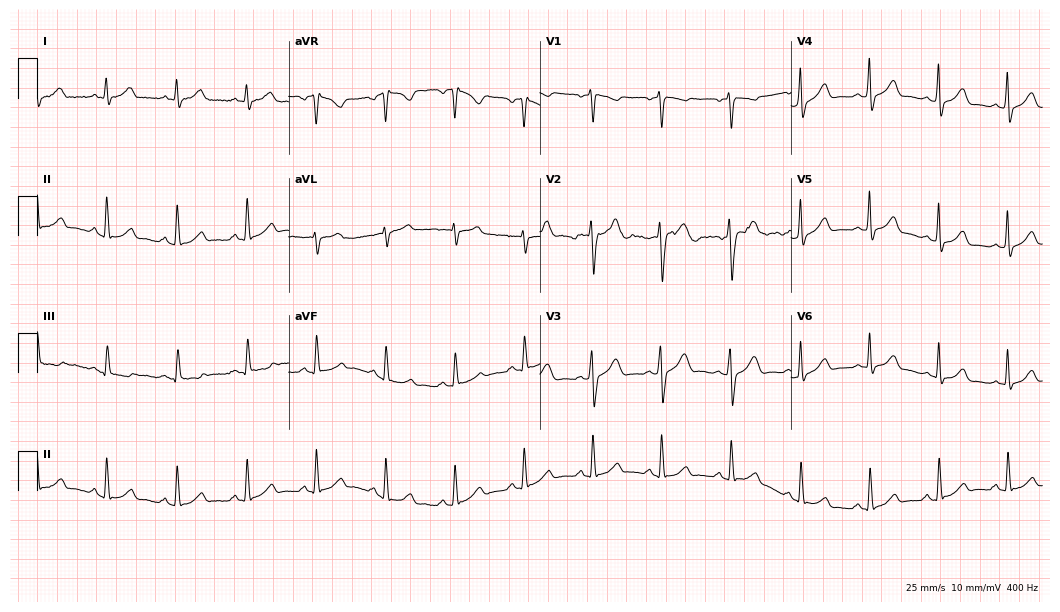
12-lead ECG from a 54-year-old male patient. Labelled as a normal ECG.